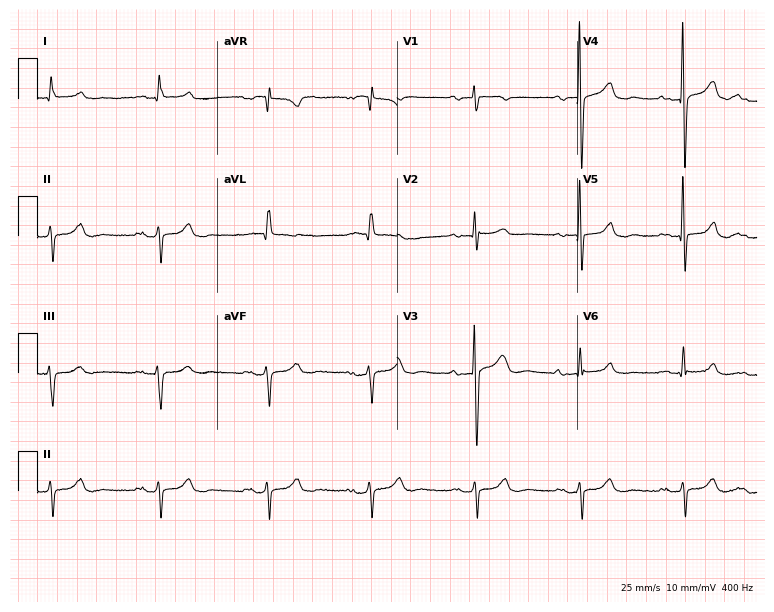
ECG (7.3-second recording at 400 Hz) — a female patient, 81 years old. Findings include first-degree AV block.